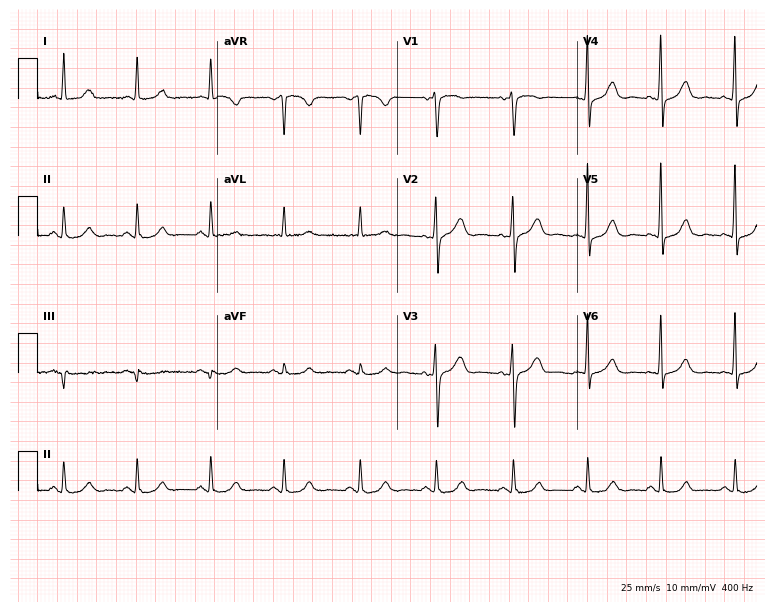
12-lead ECG from a female patient, 60 years old. Labelled as a normal ECG.